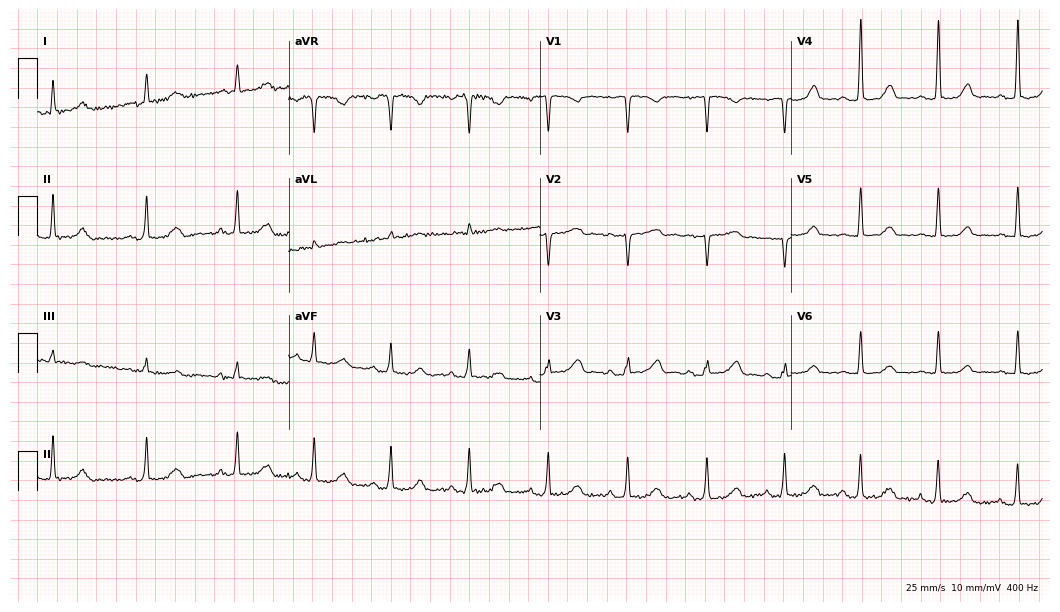
Electrocardiogram, a 48-year-old female. Of the six screened findings (first-degree AV block, right bundle branch block, left bundle branch block, sinus bradycardia, atrial fibrillation, sinus tachycardia), none is recorded.